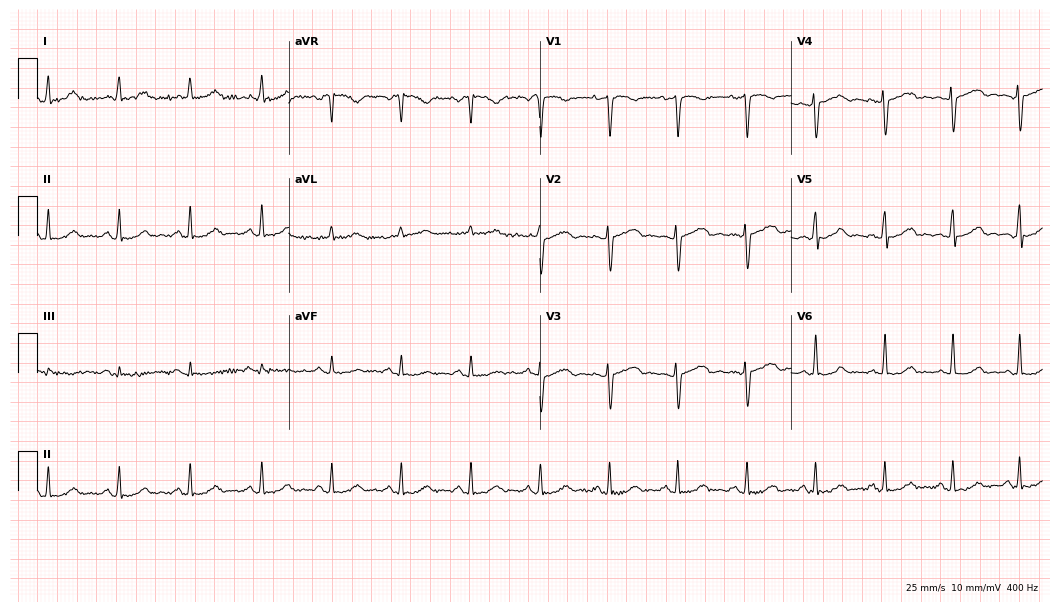
Resting 12-lead electrocardiogram. Patient: a female, 42 years old. Read as a normal ECG.